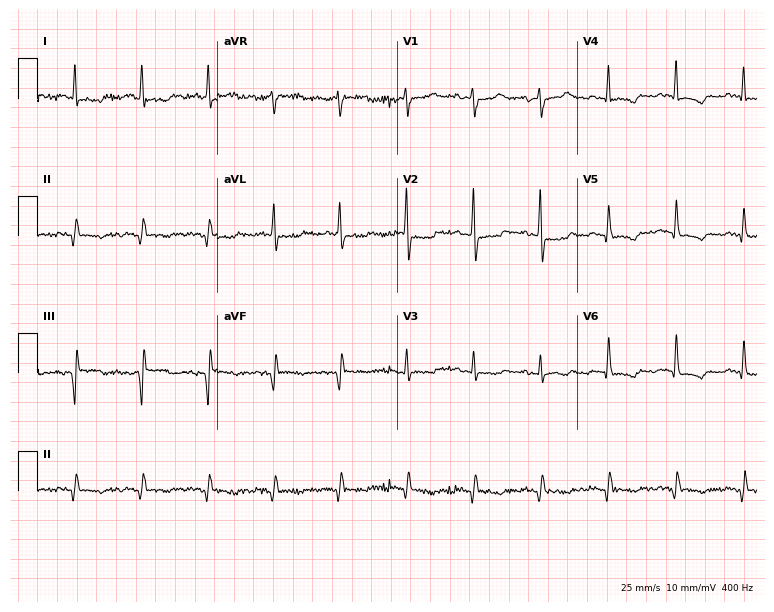
ECG — a male, 79 years old. Screened for six findings — first-degree AV block, right bundle branch block, left bundle branch block, sinus bradycardia, atrial fibrillation, sinus tachycardia — none is recorded.